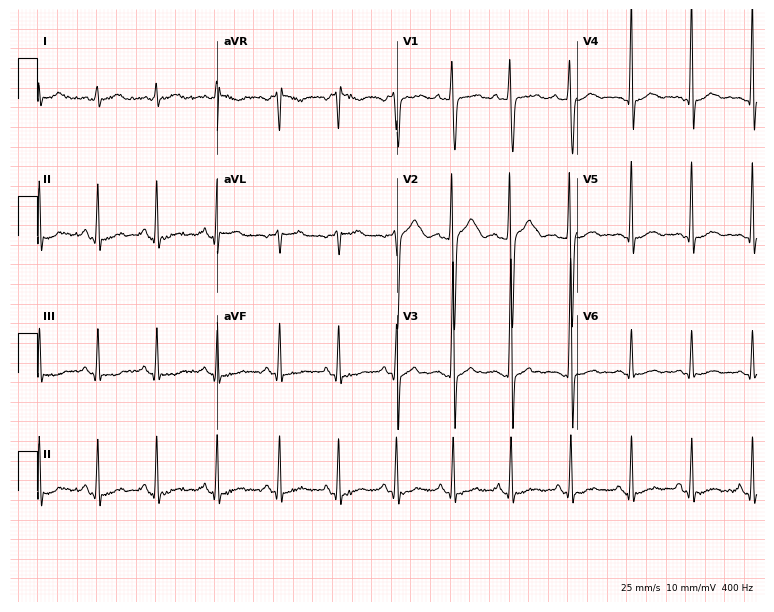
ECG (7.3-second recording at 400 Hz) — a female, 24 years old. Screened for six findings — first-degree AV block, right bundle branch block, left bundle branch block, sinus bradycardia, atrial fibrillation, sinus tachycardia — none is recorded. Only these six findings were labelled.